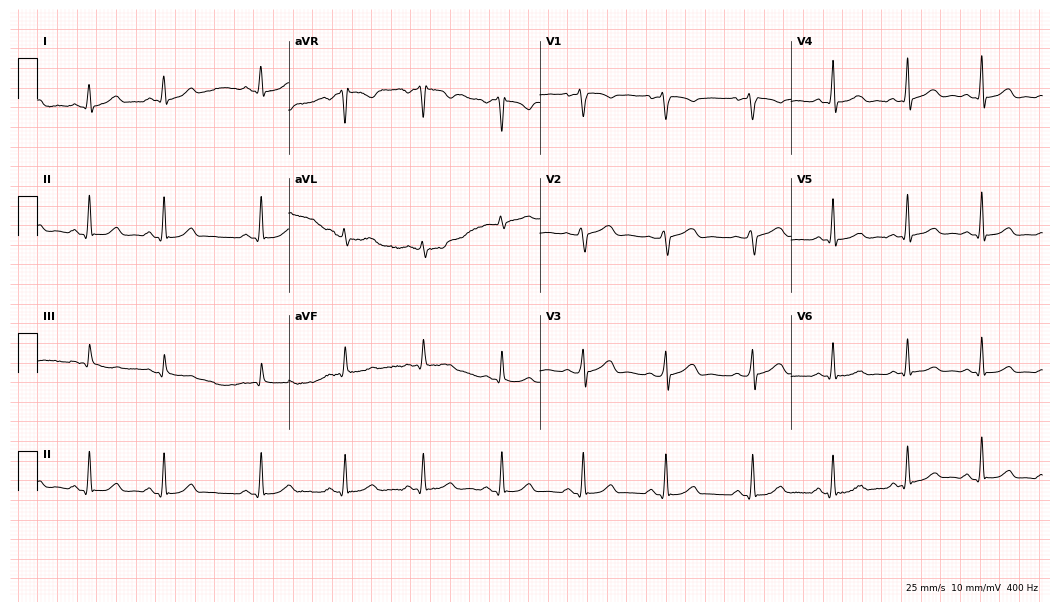
Resting 12-lead electrocardiogram. Patient: a 41-year-old male. Read as a normal ECG.